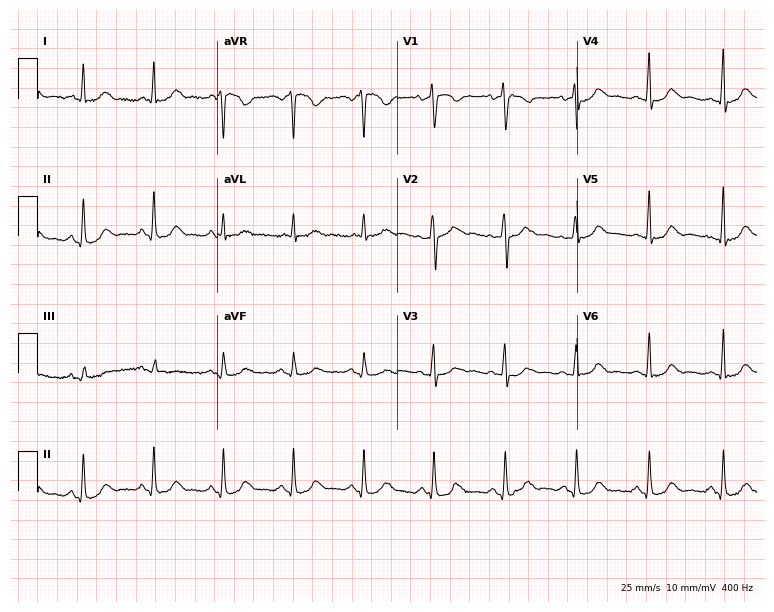
12-lead ECG from a female patient, 52 years old. Recorded interpretation: within normal limits.